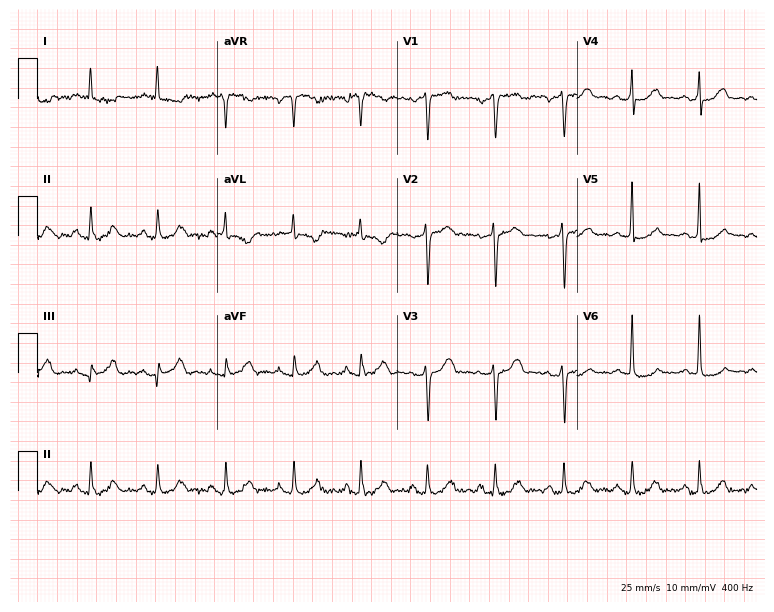
12-lead ECG from a 65-year-old male (7.3-second recording at 400 Hz). No first-degree AV block, right bundle branch block, left bundle branch block, sinus bradycardia, atrial fibrillation or sinus tachycardia recorded for this tracing. Findings outside these six are not listed.